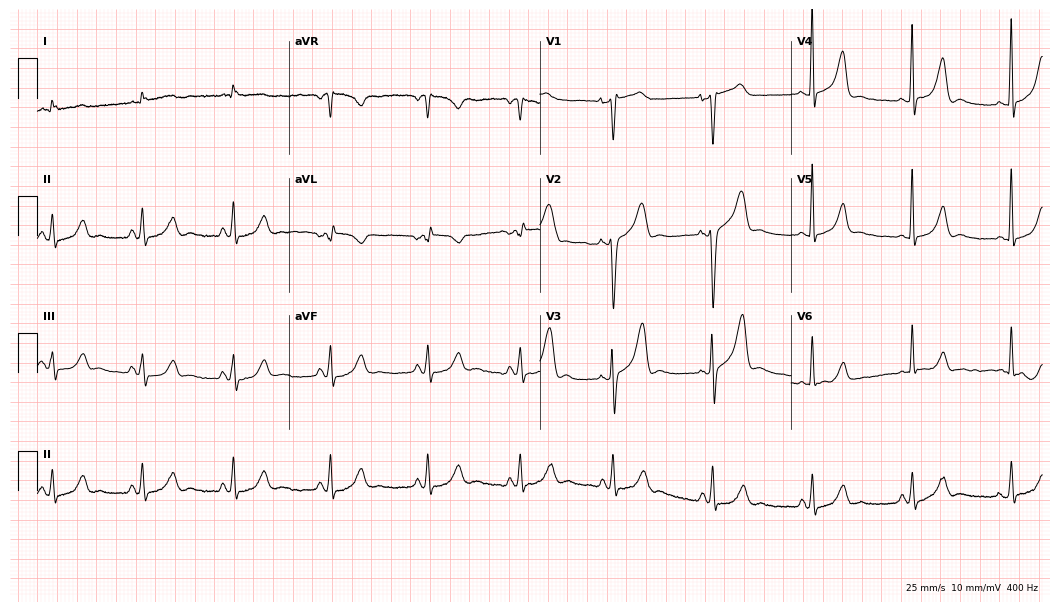
12-lead ECG from a male patient, 65 years old. Labelled as a normal ECG.